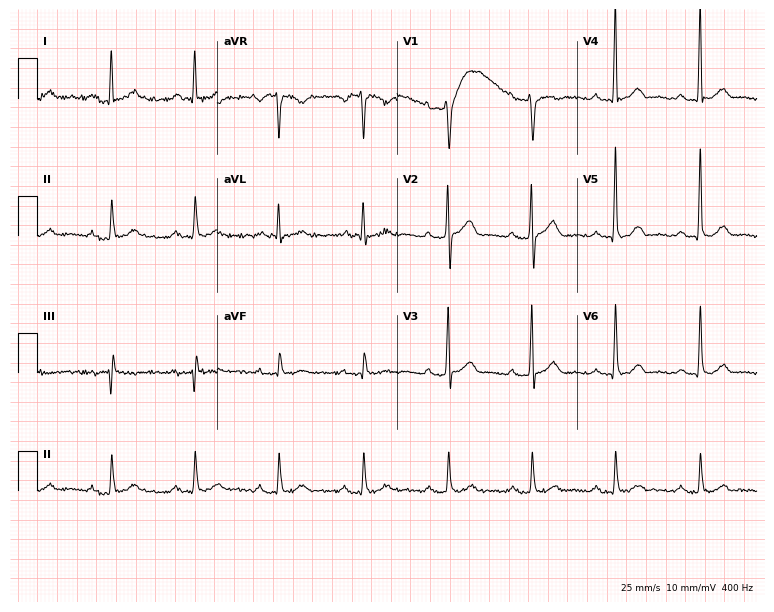
12-lead ECG from a male patient, 53 years old. Labelled as a normal ECG.